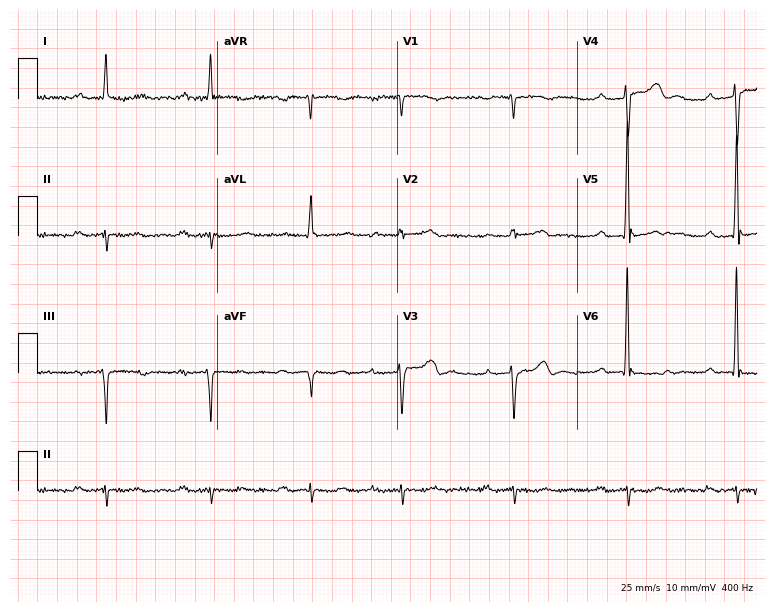
Standard 12-lead ECG recorded from a 72-year-old male patient (7.3-second recording at 400 Hz). The tracing shows first-degree AV block.